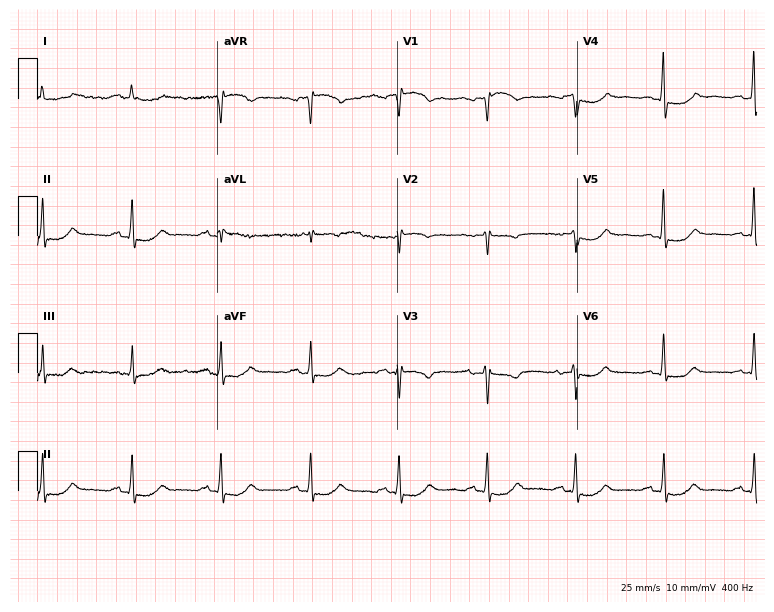
ECG (7.3-second recording at 400 Hz) — a 78-year-old female patient. Screened for six findings — first-degree AV block, right bundle branch block (RBBB), left bundle branch block (LBBB), sinus bradycardia, atrial fibrillation (AF), sinus tachycardia — none is recorded.